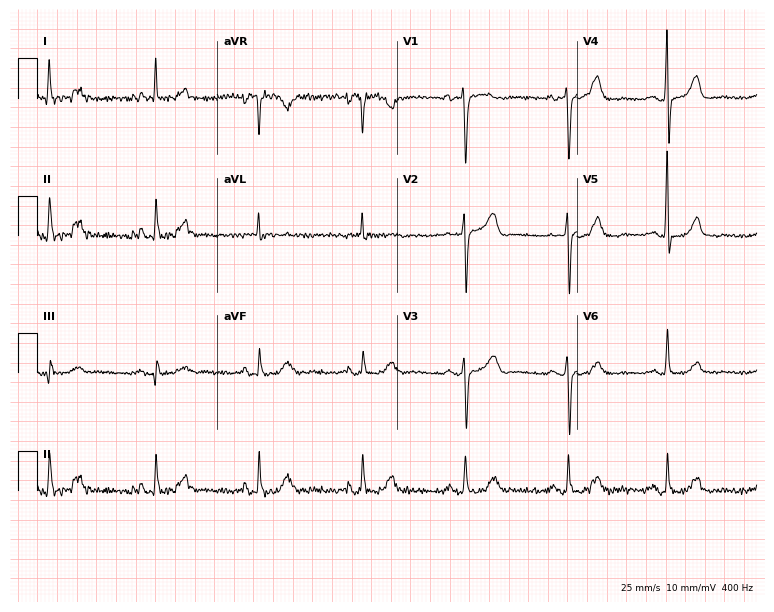
Electrocardiogram, a 74-year-old female. Overall reading on record: normal ECG.